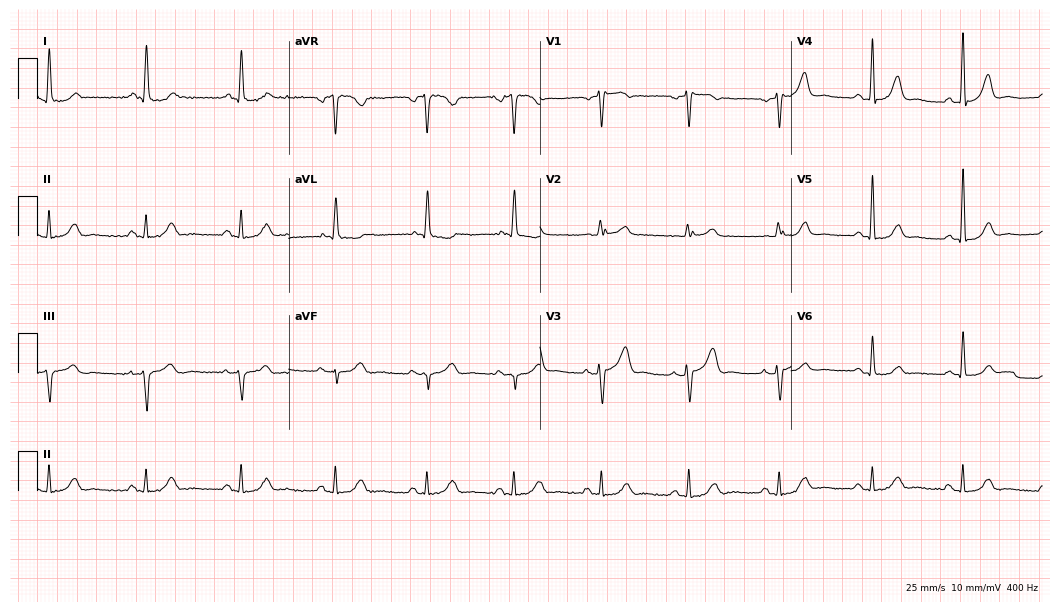
Standard 12-lead ECG recorded from a 75-year-old female. Read as a normal ECG.